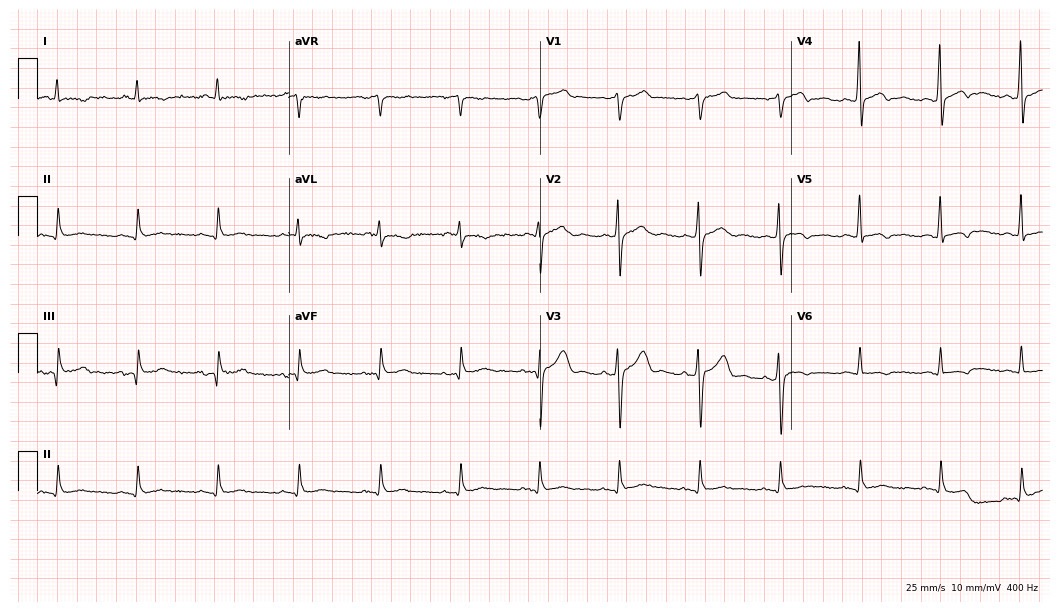
ECG — a man, 68 years old. Screened for six findings — first-degree AV block, right bundle branch block, left bundle branch block, sinus bradycardia, atrial fibrillation, sinus tachycardia — none is recorded. Other findings, if any, are not listed.